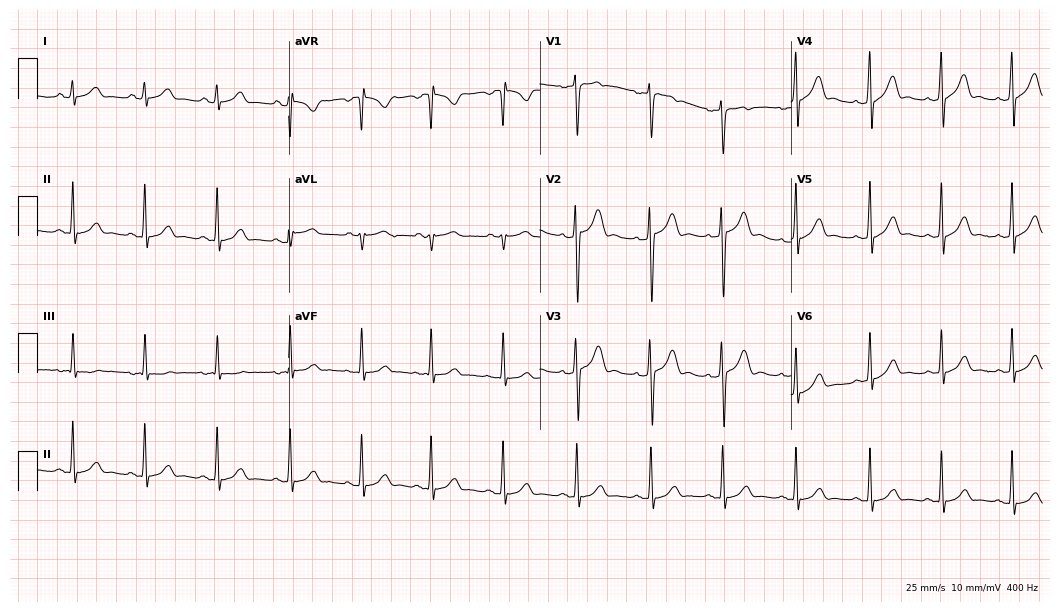
Standard 12-lead ECG recorded from a 21-year-old man. None of these six findings is recorded: first-degree AV block, right bundle branch block (RBBB), left bundle branch block (LBBB), sinus bradycardia, atrial fibrillation (AF), sinus tachycardia. Findings outside these six are not listed.